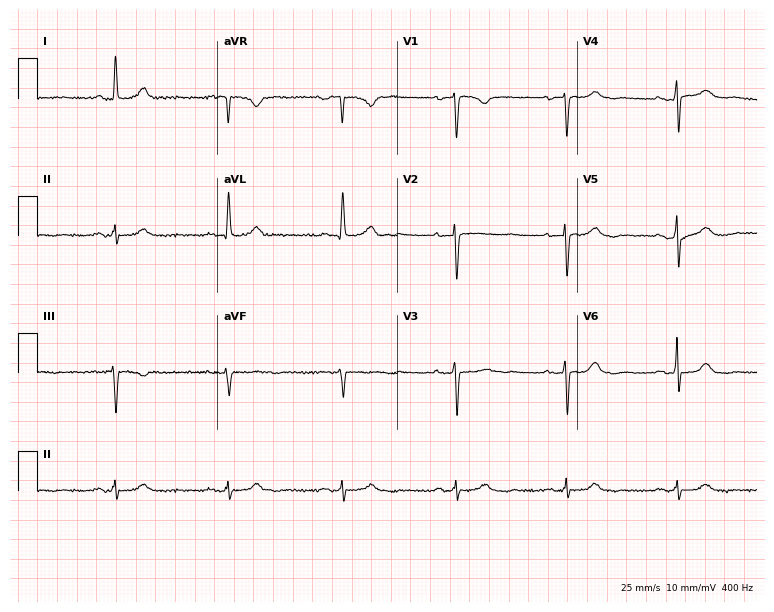
Resting 12-lead electrocardiogram. Patient: a 70-year-old woman. Read as a normal ECG.